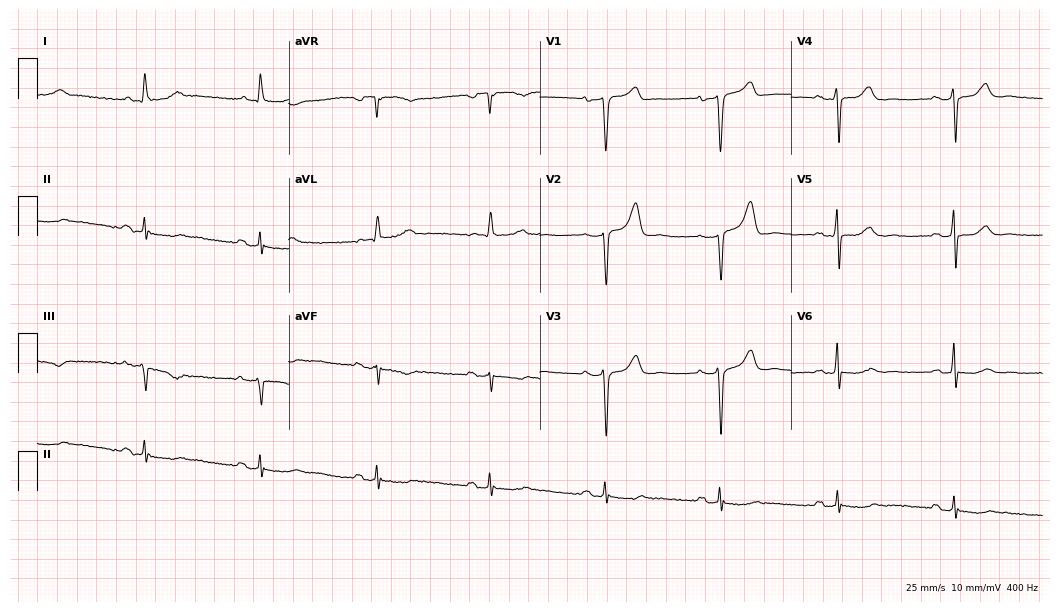
Standard 12-lead ECG recorded from an 82-year-old male patient (10.2-second recording at 400 Hz). None of these six findings is recorded: first-degree AV block, right bundle branch block (RBBB), left bundle branch block (LBBB), sinus bradycardia, atrial fibrillation (AF), sinus tachycardia.